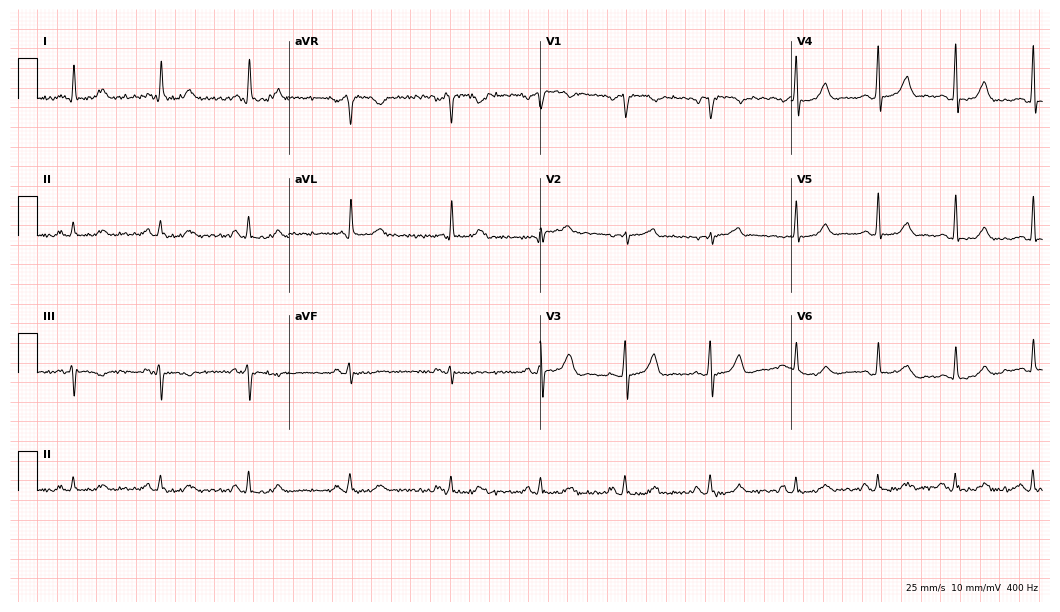
ECG (10.2-second recording at 400 Hz) — a woman, 53 years old. Labelled as a normal ECG.